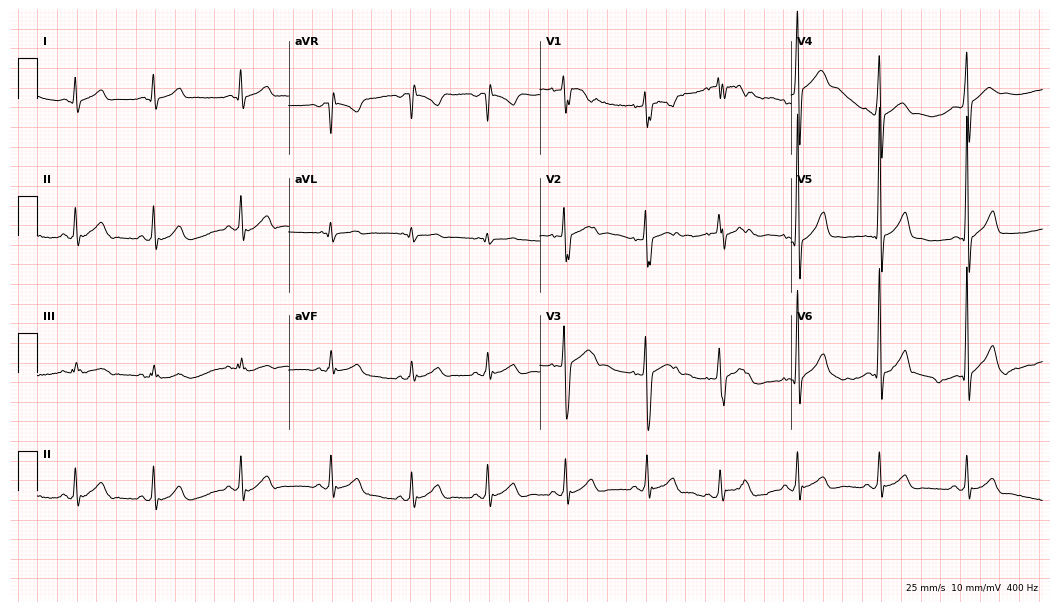
Standard 12-lead ECG recorded from a man, 18 years old. Read as a normal ECG.